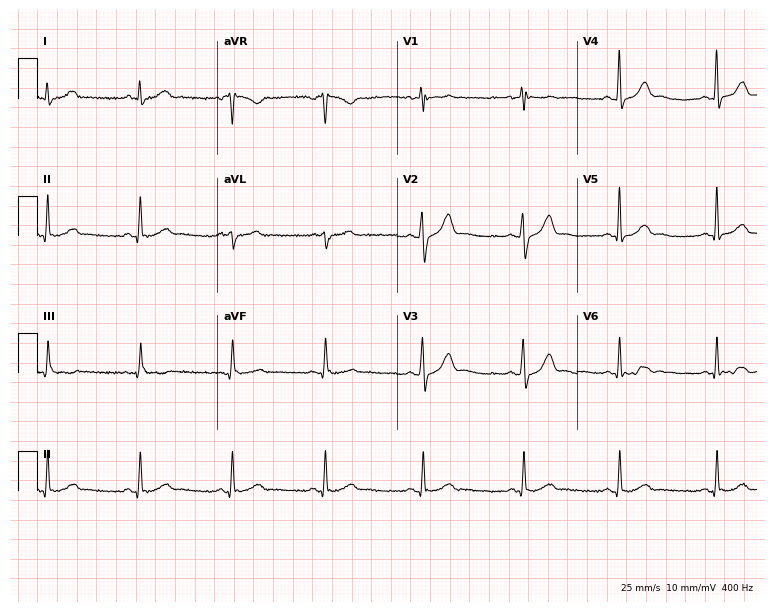
12-lead ECG from a man, 53 years old (7.3-second recording at 400 Hz). No first-degree AV block, right bundle branch block (RBBB), left bundle branch block (LBBB), sinus bradycardia, atrial fibrillation (AF) or sinus tachycardia recorded for this tracing.